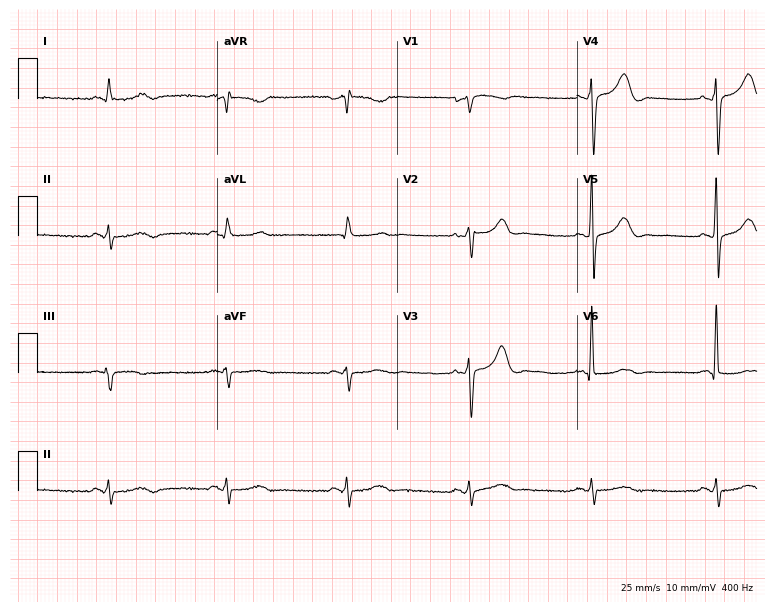
Electrocardiogram (7.3-second recording at 400 Hz), a 65-year-old male. Of the six screened findings (first-degree AV block, right bundle branch block, left bundle branch block, sinus bradycardia, atrial fibrillation, sinus tachycardia), none is recorded.